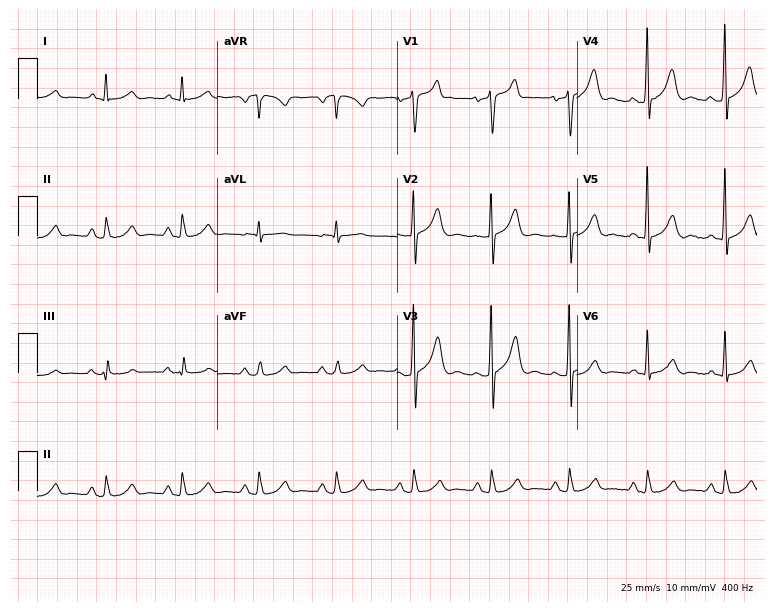
12-lead ECG from a 76-year-old man. Screened for six findings — first-degree AV block, right bundle branch block, left bundle branch block, sinus bradycardia, atrial fibrillation, sinus tachycardia — none is recorded. Findings outside these six are not listed.